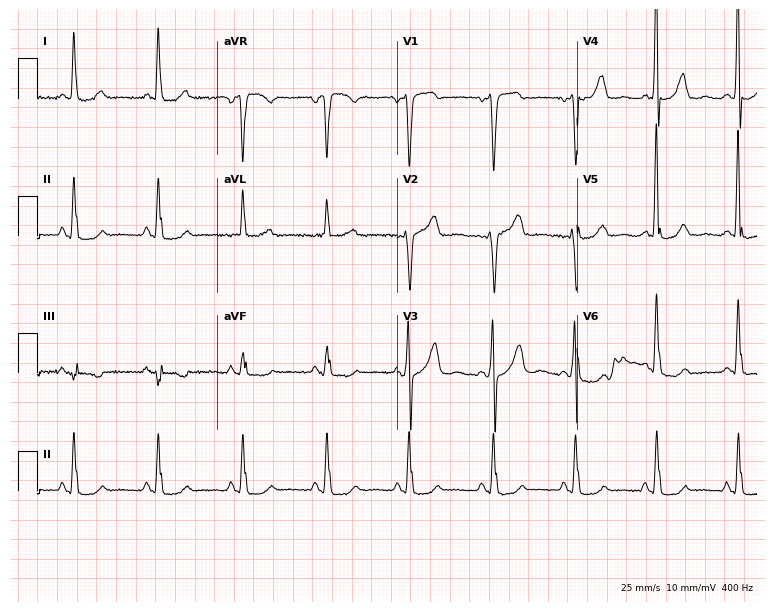
Electrocardiogram (7.3-second recording at 400 Hz), a female patient, 51 years old. Of the six screened findings (first-degree AV block, right bundle branch block (RBBB), left bundle branch block (LBBB), sinus bradycardia, atrial fibrillation (AF), sinus tachycardia), none is recorded. Other findings, if any, are not listed.